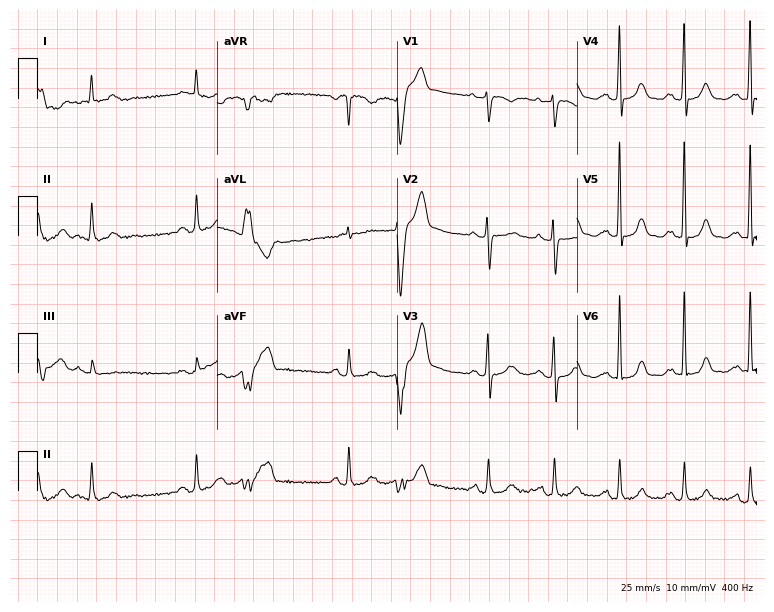
Resting 12-lead electrocardiogram (7.3-second recording at 400 Hz). Patient: a 65-year-old woman. None of these six findings is recorded: first-degree AV block, right bundle branch block (RBBB), left bundle branch block (LBBB), sinus bradycardia, atrial fibrillation (AF), sinus tachycardia. Only these six findings were labelled.